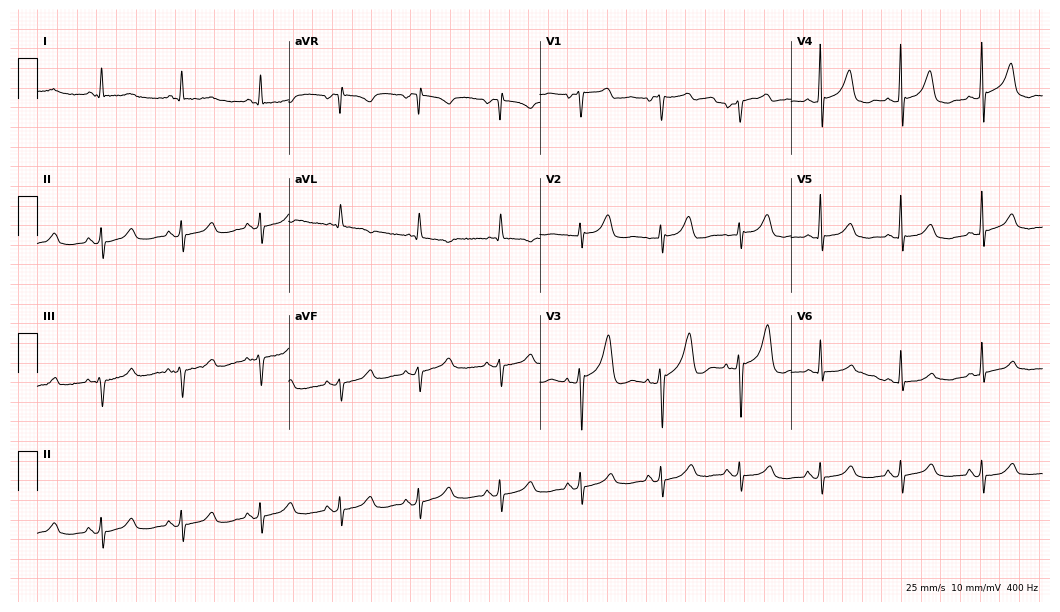
12-lead ECG from a female, 62 years old. Labelled as a normal ECG.